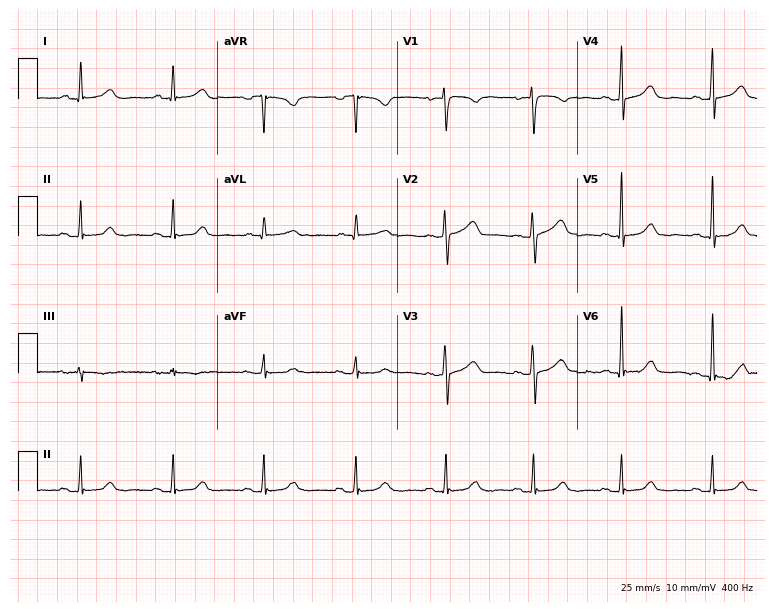
ECG (7.3-second recording at 400 Hz) — a female, 54 years old. Labelled as a normal ECG.